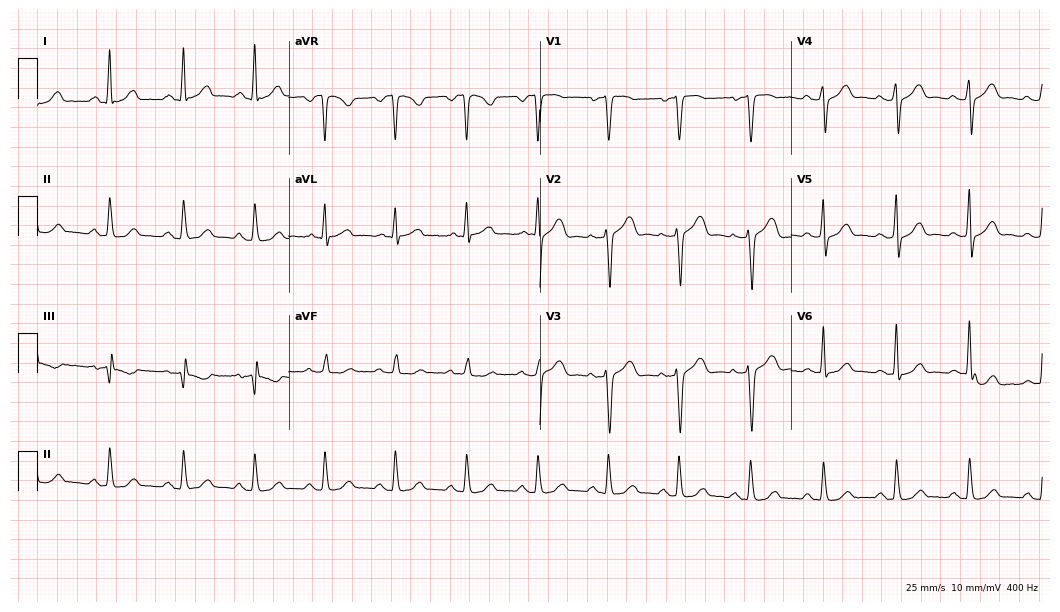
Electrocardiogram, a 38-year-old female patient. Of the six screened findings (first-degree AV block, right bundle branch block, left bundle branch block, sinus bradycardia, atrial fibrillation, sinus tachycardia), none is recorded. Other findings, if any, are not listed.